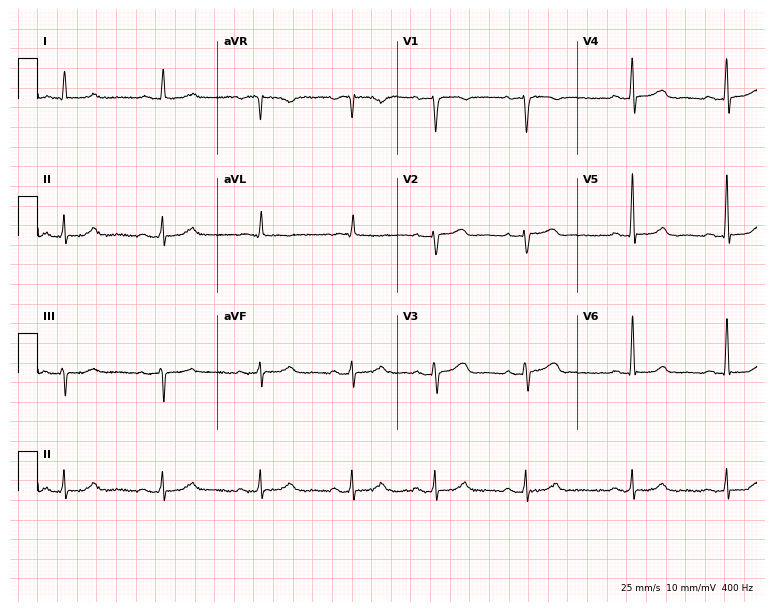
Standard 12-lead ECG recorded from a woman, 77 years old. Read as a normal ECG.